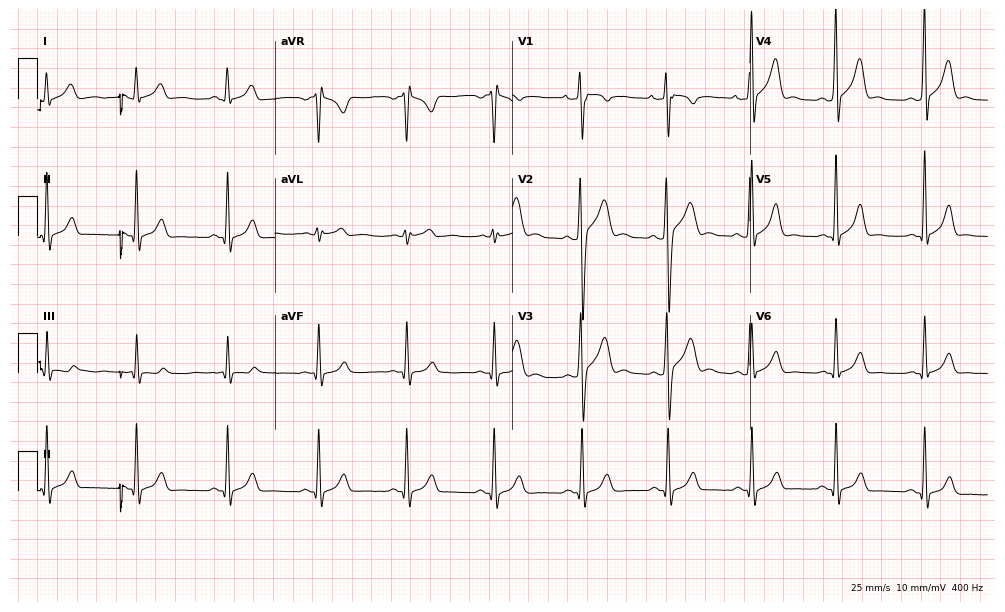
12-lead ECG from a female patient, 57 years old. Recorded interpretation: within normal limits.